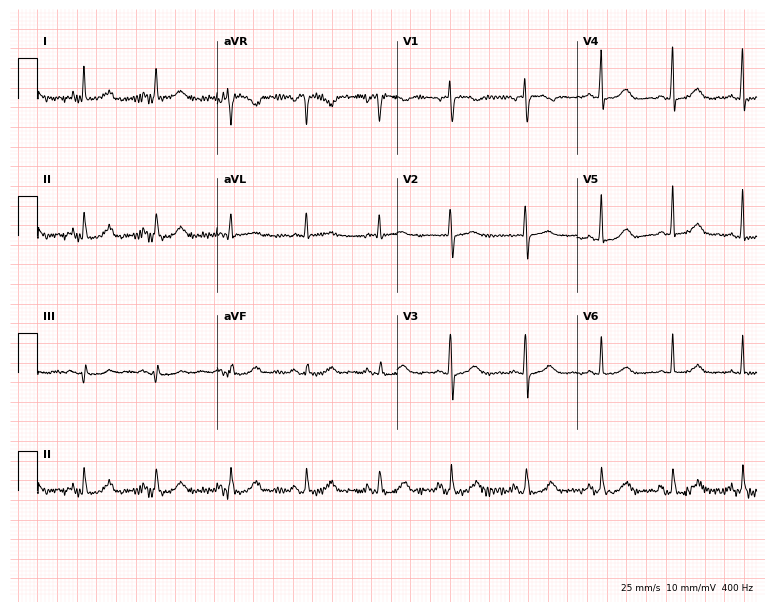
Standard 12-lead ECG recorded from a 67-year-old woman (7.3-second recording at 400 Hz). Read as a normal ECG.